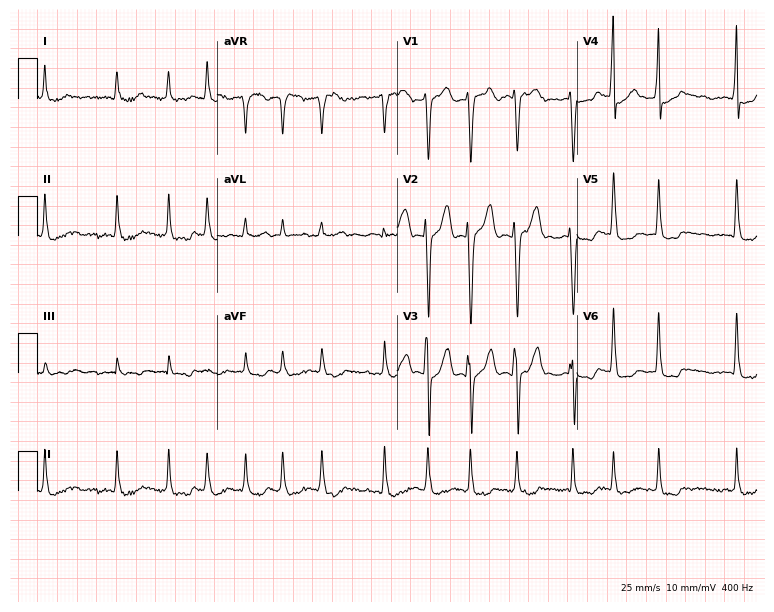
12-lead ECG (7.3-second recording at 400 Hz) from a male, 50 years old. Findings include atrial fibrillation.